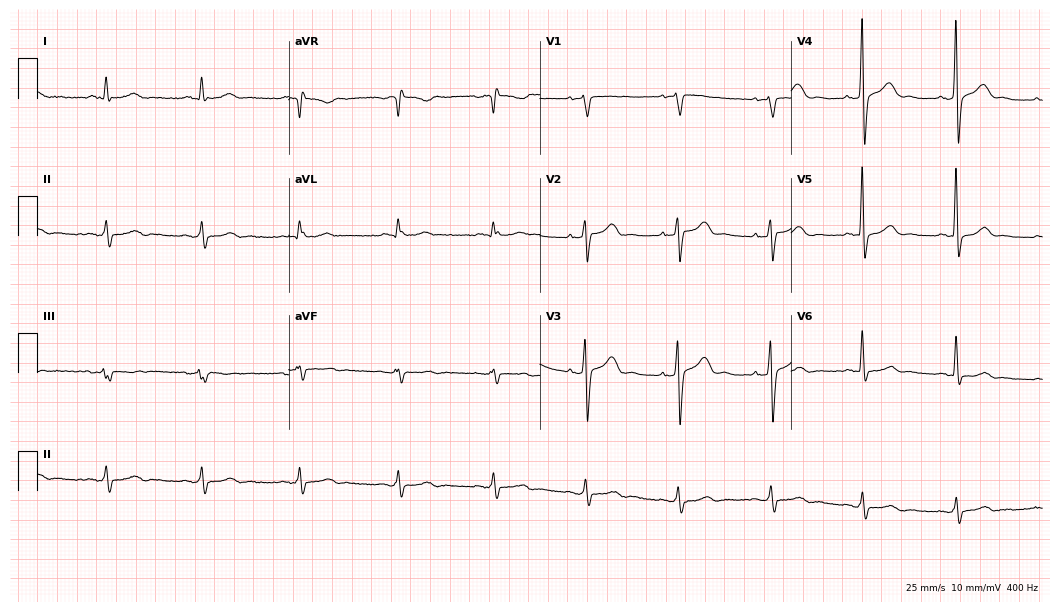
Standard 12-lead ECG recorded from a man, 49 years old. None of these six findings is recorded: first-degree AV block, right bundle branch block (RBBB), left bundle branch block (LBBB), sinus bradycardia, atrial fibrillation (AF), sinus tachycardia. Findings outside these six are not listed.